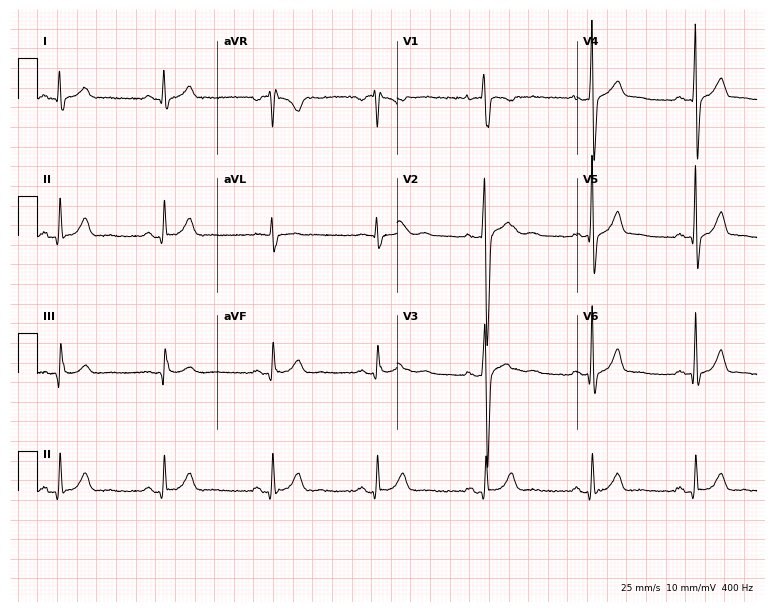
12-lead ECG from a male patient, 35 years old (7.3-second recording at 400 Hz). No first-degree AV block, right bundle branch block, left bundle branch block, sinus bradycardia, atrial fibrillation or sinus tachycardia recorded for this tracing. Findings outside these six are not listed.